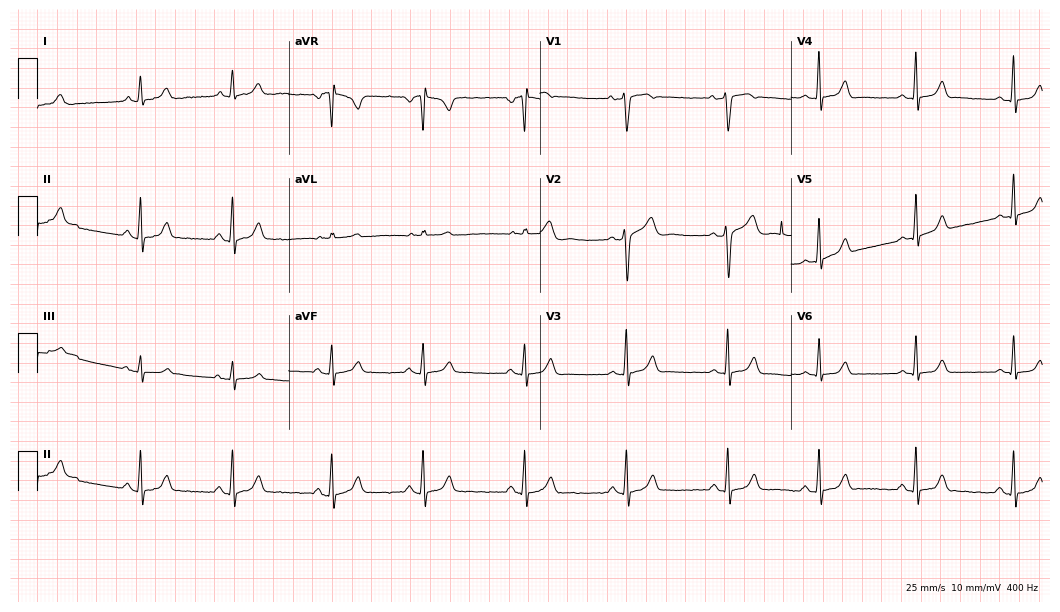
12-lead ECG from a 31-year-old female. Labelled as a normal ECG.